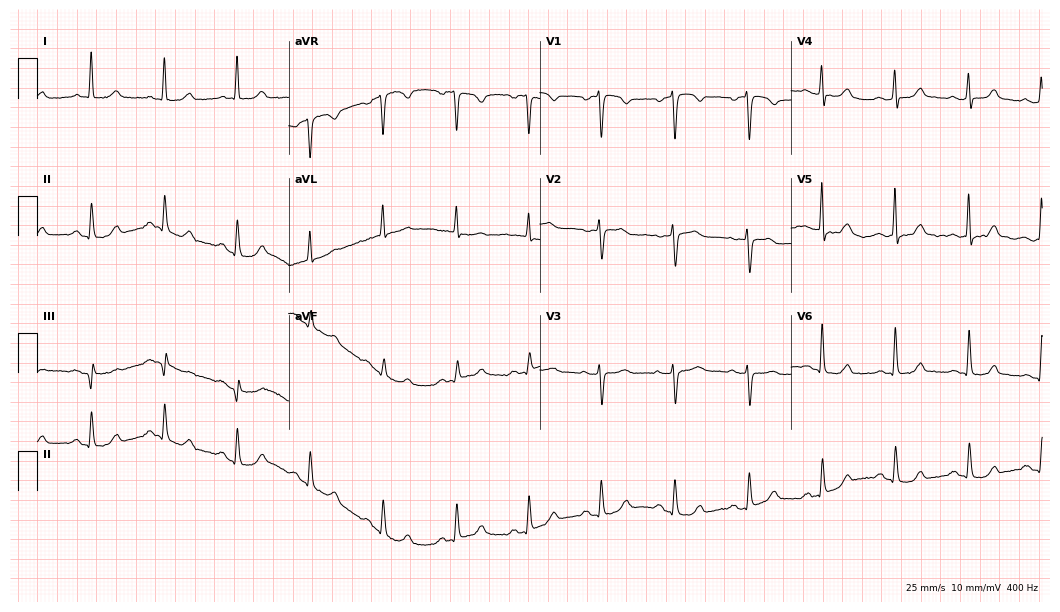
12-lead ECG from a 77-year-old female. Labelled as a normal ECG.